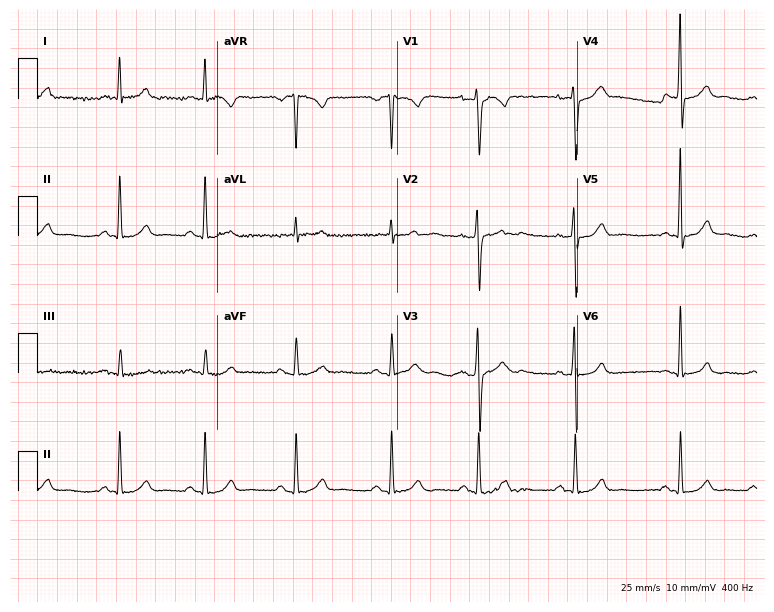
12-lead ECG from a male patient, 45 years old. No first-degree AV block, right bundle branch block (RBBB), left bundle branch block (LBBB), sinus bradycardia, atrial fibrillation (AF) or sinus tachycardia recorded for this tracing. Other findings, if any, are not listed.